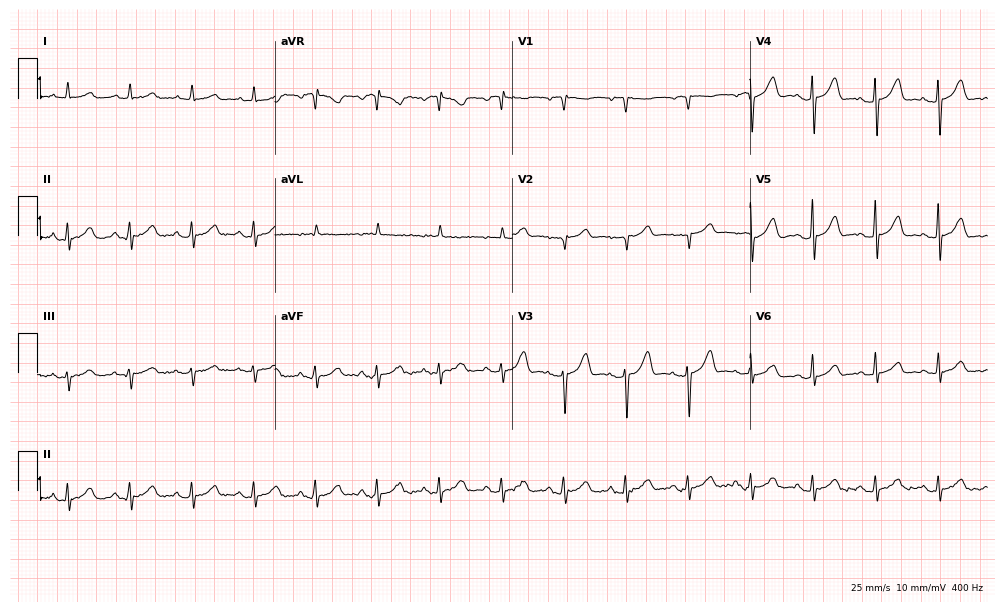
12-lead ECG from an 86-year-old female. Labelled as a normal ECG.